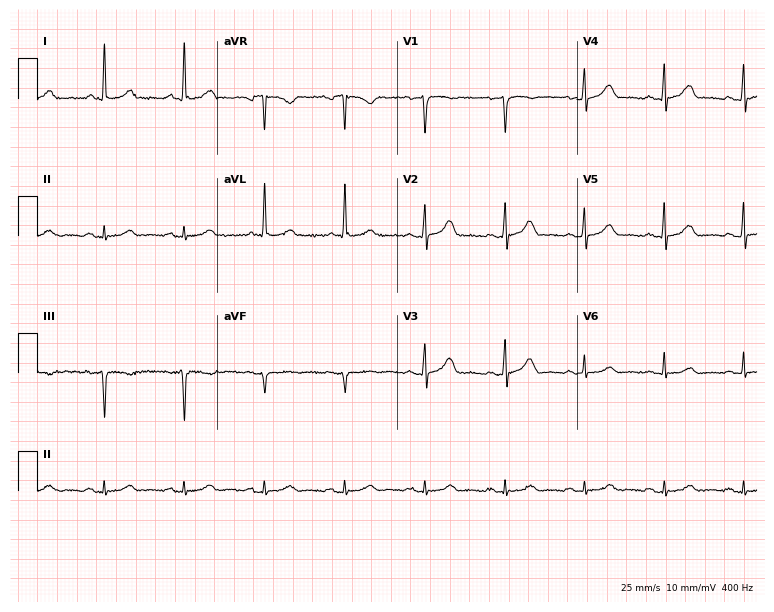
12-lead ECG from a 71-year-old woman. Labelled as a normal ECG.